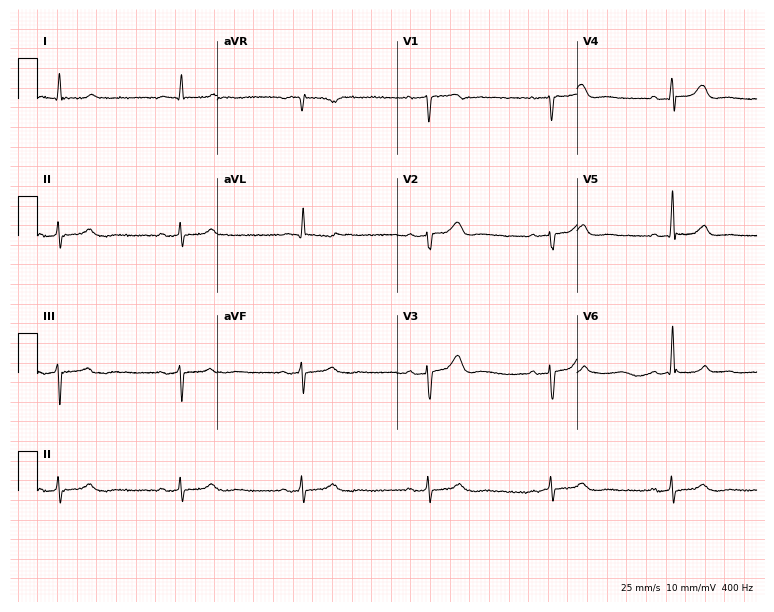
Resting 12-lead electrocardiogram (7.3-second recording at 400 Hz). Patient: a man, 64 years old. The tracing shows sinus bradycardia (a sinus rate of 50 beats per minute or less).